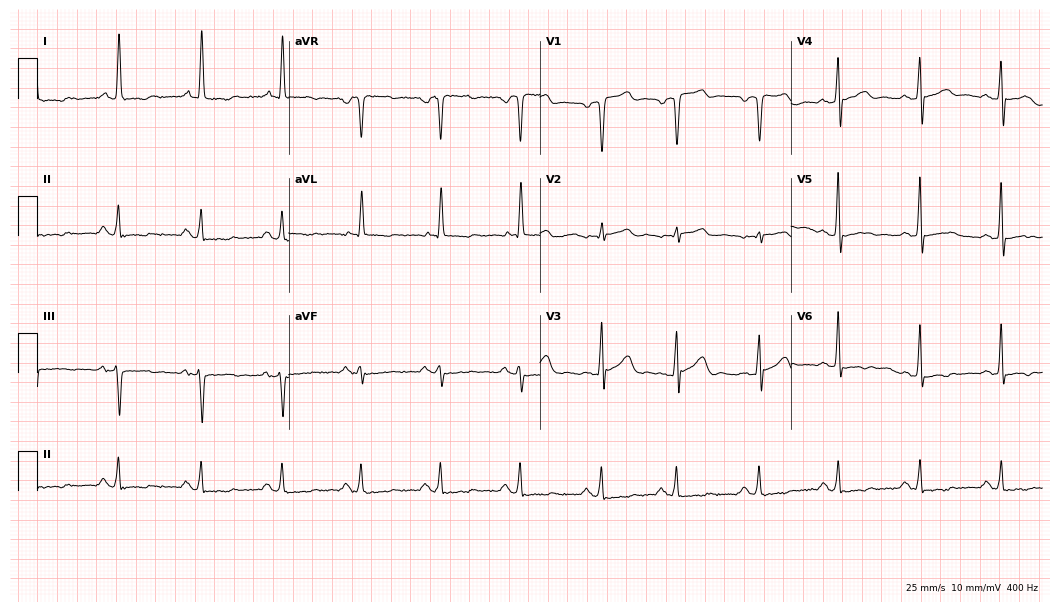
Resting 12-lead electrocardiogram. Patient: a male, 76 years old. None of these six findings is recorded: first-degree AV block, right bundle branch block, left bundle branch block, sinus bradycardia, atrial fibrillation, sinus tachycardia.